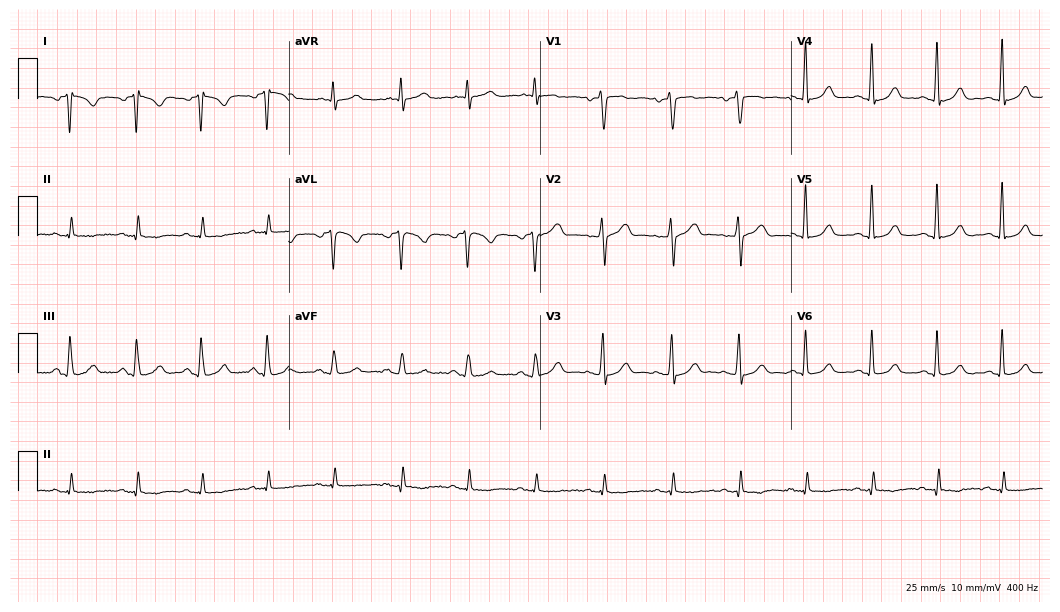
12-lead ECG from a female, 45 years old (10.2-second recording at 400 Hz). No first-degree AV block, right bundle branch block (RBBB), left bundle branch block (LBBB), sinus bradycardia, atrial fibrillation (AF) or sinus tachycardia recorded for this tracing.